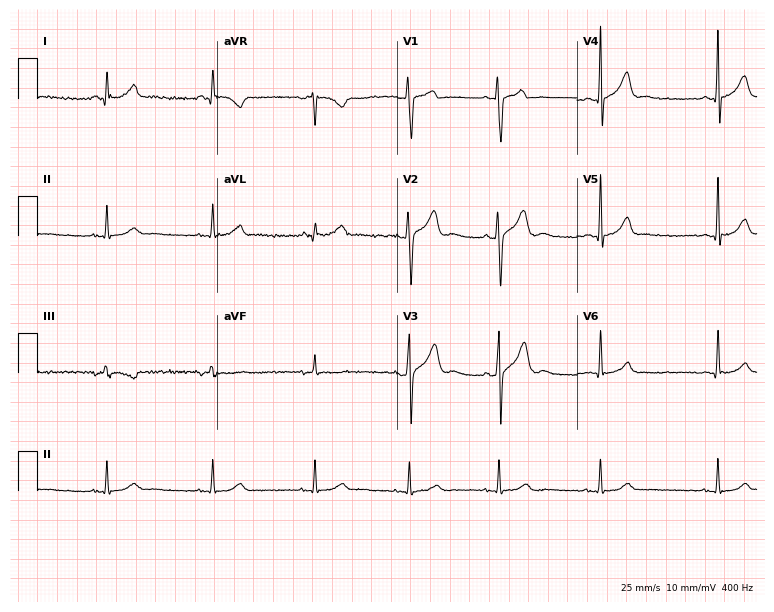
Resting 12-lead electrocardiogram. Patient: a 40-year-old man. Read as a normal ECG.